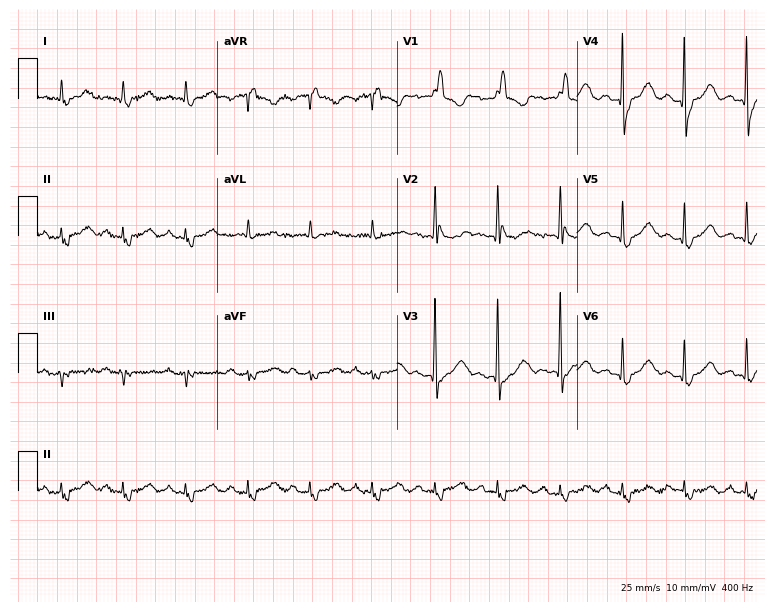
Resting 12-lead electrocardiogram (7.3-second recording at 400 Hz). Patient: a 78-year-old woman. The tracing shows right bundle branch block.